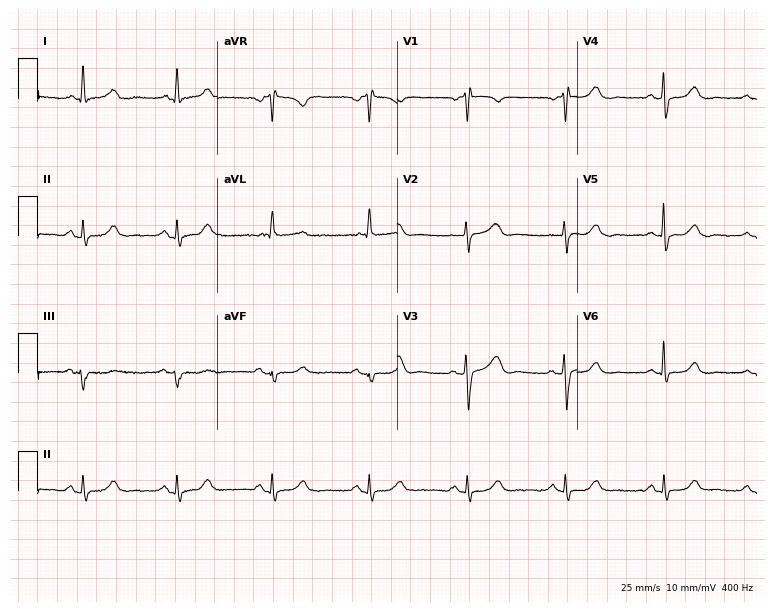
ECG — a 72-year-old female patient. Labelled as a normal ECG.